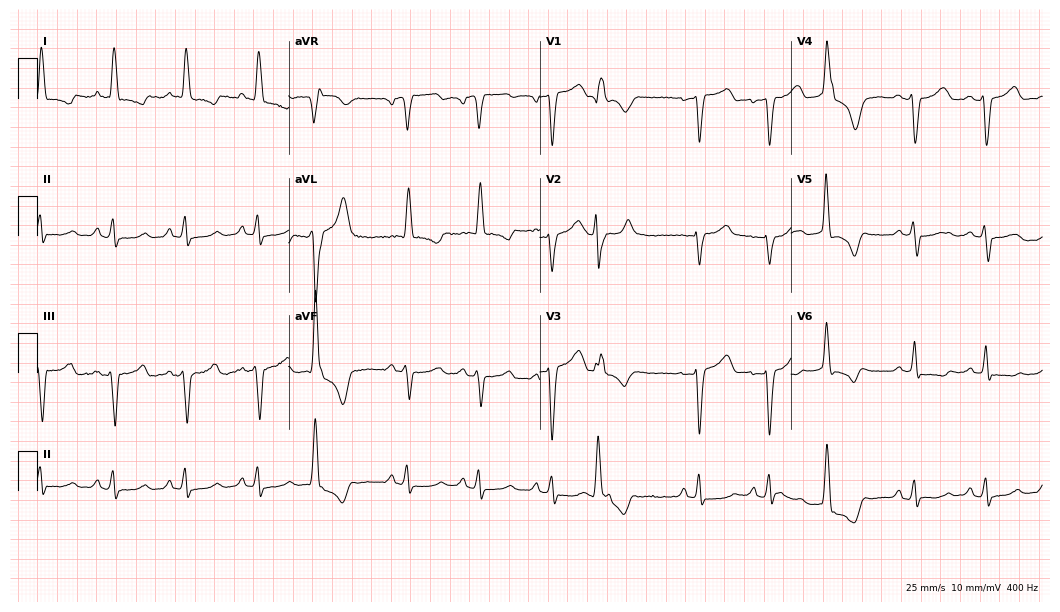
Resting 12-lead electrocardiogram. Patient: a 60-year-old female. None of these six findings is recorded: first-degree AV block, right bundle branch block (RBBB), left bundle branch block (LBBB), sinus bradycardia, atrial fibrillation (AF), sinus tachycardia.